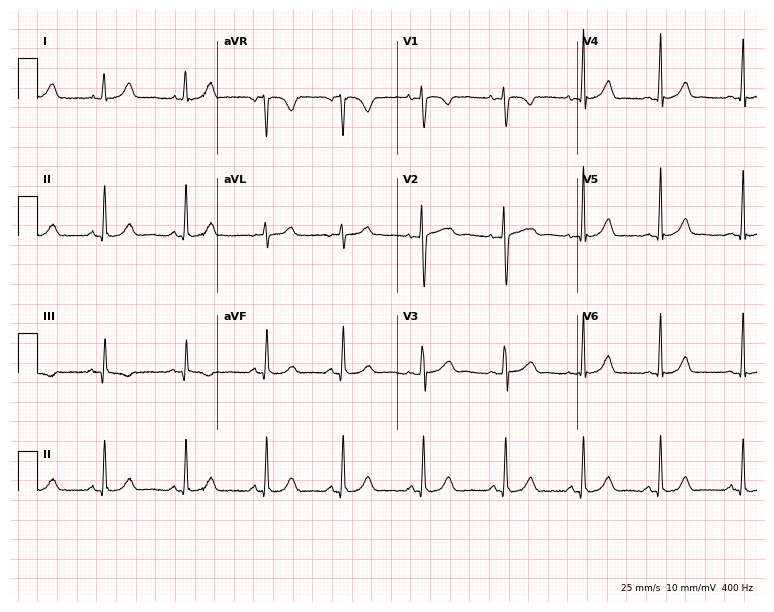
ECG (7.3-second recording at 400 Hz) — a 20-year-old female patient. Screened for six findings — first-degree AV block, right bundle branch block, left bundle branch block, sinus bradycardia, atrial fibrillation, sinus tachycardia — none is recorded.